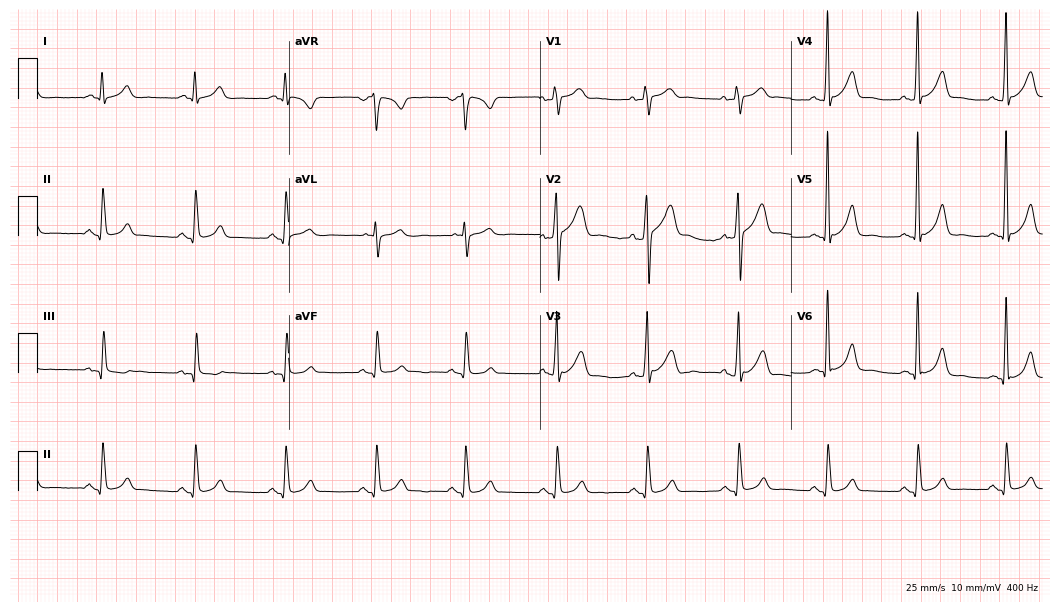
Electrocardiogram, a 42-year-old man. Of the six screened findings (first-degree AV block, right bundle branch block (RBBB), left bundle branch block (LBBB), sinus bradycardia, atrial fibrillation (AF), sinus tachycardia), none is recorded. Findings outside these six are not listed.